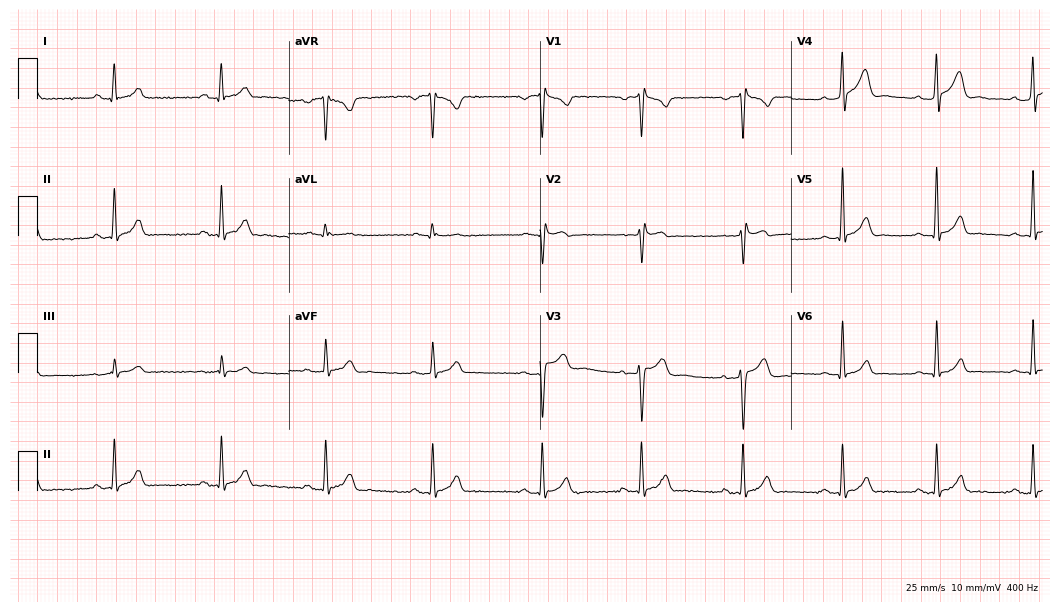
ECG — a 37-year-old male patient. Screened for six findings — first-degree AV block, right bundle branch block, left bundle branch block, sinus bradycardia, atrial fibrillation, sinus tachycardia — none is recorded. Only these six findings were labelled.